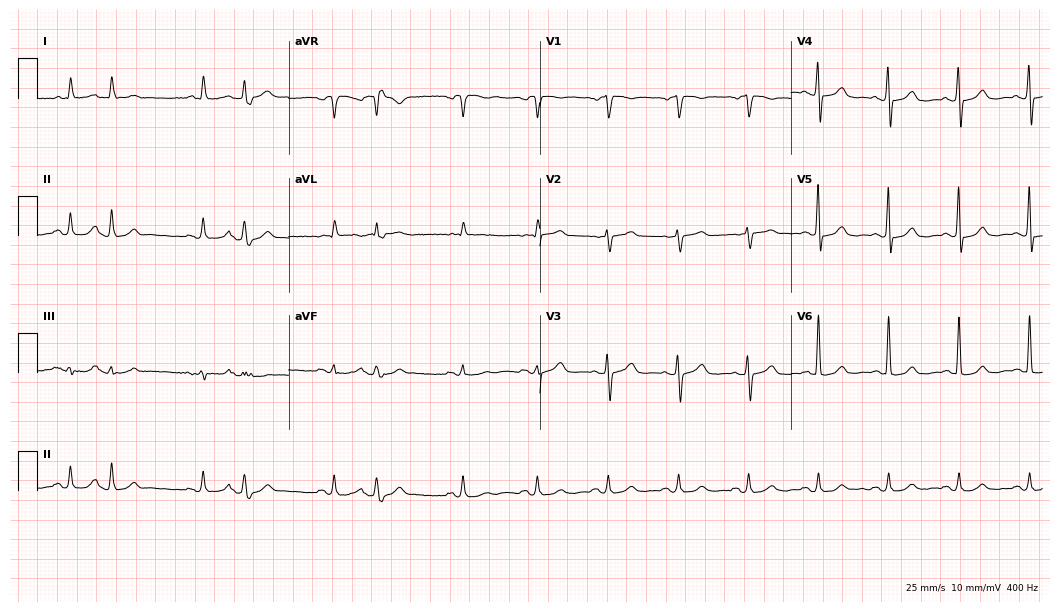
Standard 12-lead ECG recorded from a 75-year-old male patient (10.2-second recording at 400 Hz). None of these six findings is recorded: first-degree AV block, right bundle branch block, left bundle branch block, sinus bradycardia, atrial fibrillation, sinus tachycardia. Only these six findings were labelled.